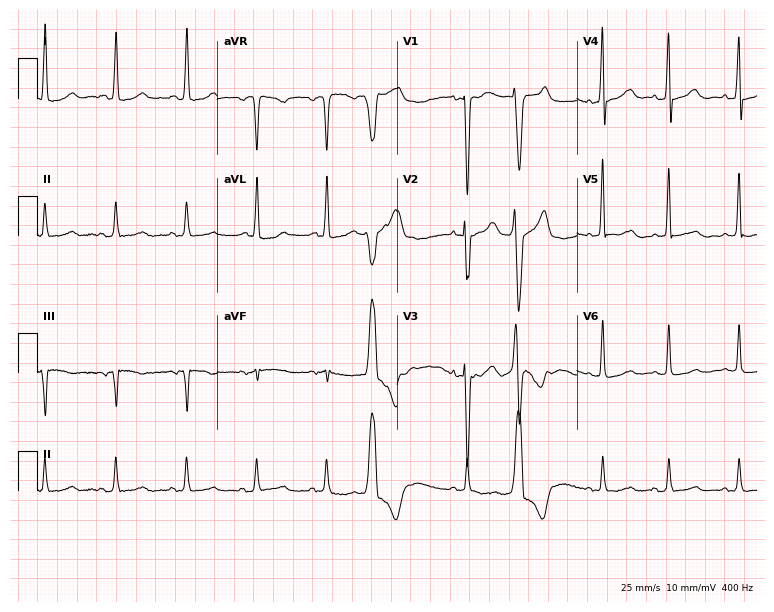
Standard 12-lead ECG recorded from a female patient, 73 years old (7.3-second recording at 400 Hz). None of these six findings is recorded: first-degree AV block, right bundle branch block, left bundle branch block, sinus bradycardia, atrial fibrillation, sinus tachycardia. Findings outside these six are not listed.